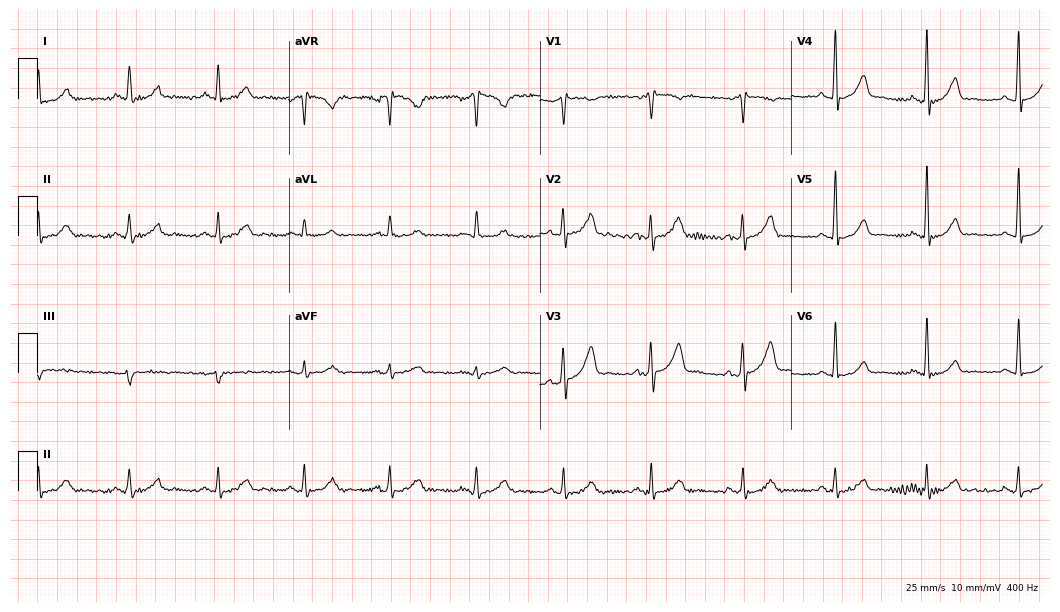
ECG (10.2-second recording at 400 Hz) — a man, 40 years old. Labelled as a normal ECG.